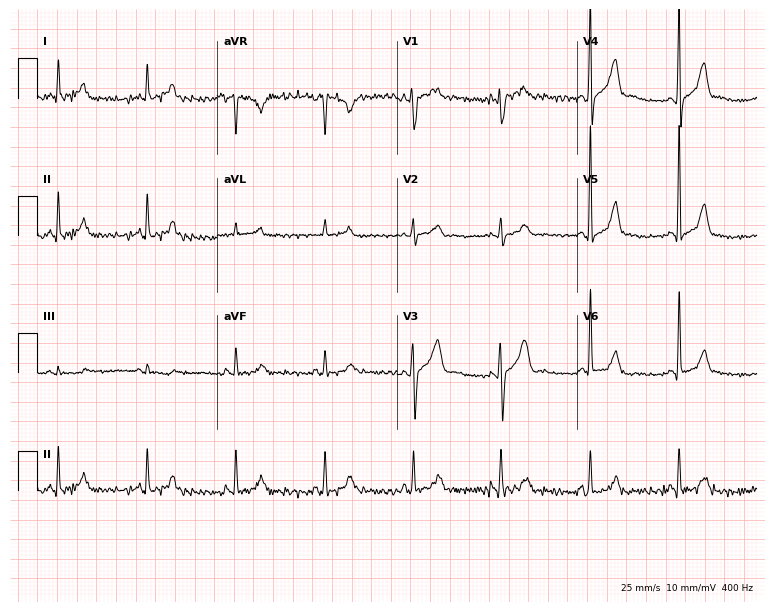
12-lead ECG from a 33-year-old male patient. Screened for six findings — first-degree AV block, right bundle branch block, left bundle branch block, sinus bradycardia, atrial fibrillation, sinus tachycardia — none is recorded.